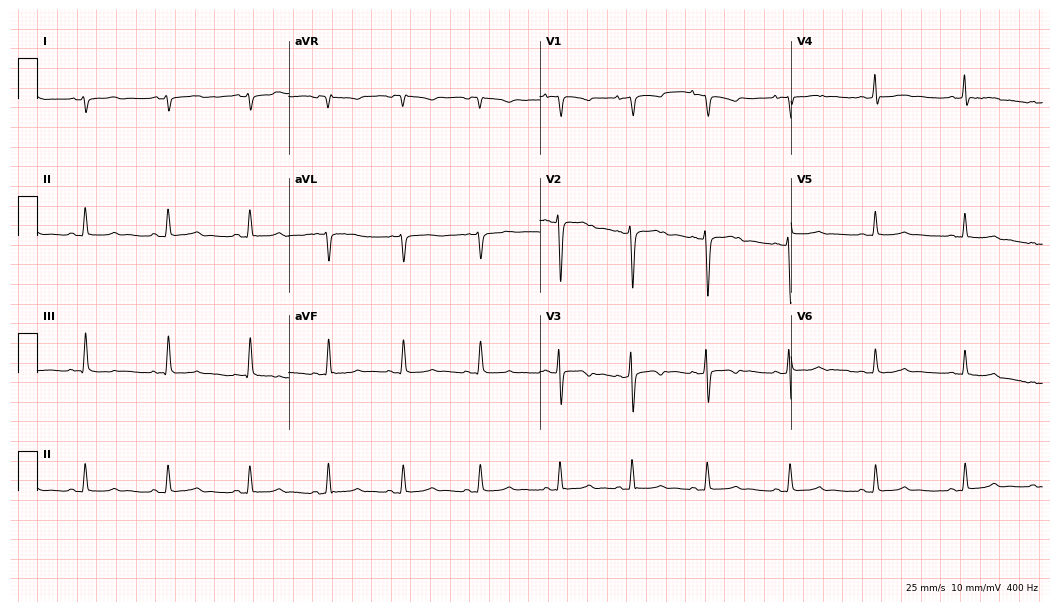
Electrocardiogram, a woman, 17 years old. Of the six screened findings (first-degree AV block, right bundle branch block, left bundle branch block, sinus bradycardia, atrial fibrillation, sinus tachycardia), none is recorded.